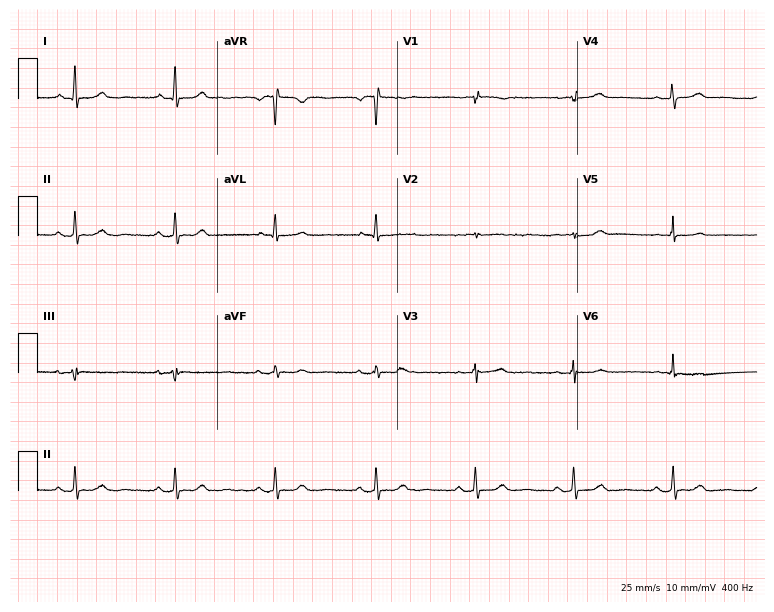
12-lead ECG from a 64-year-old female patient. Recorded interpretation: within normal limits.